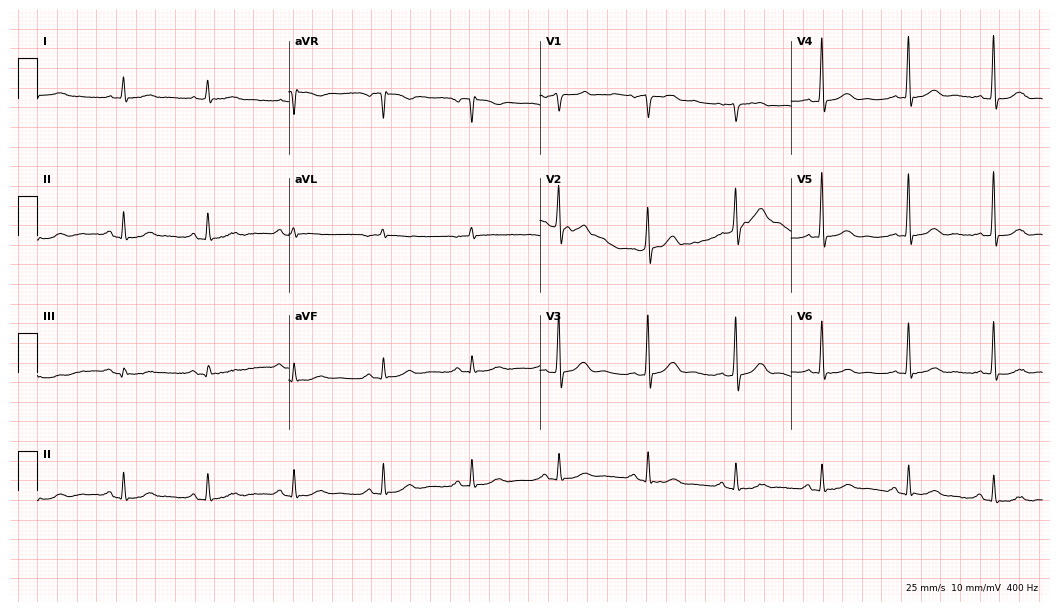
12-lead ECG from a 78-year-old male patient (10.2-second recording at 400 Hz). Recorded interpretation: within normal limits.